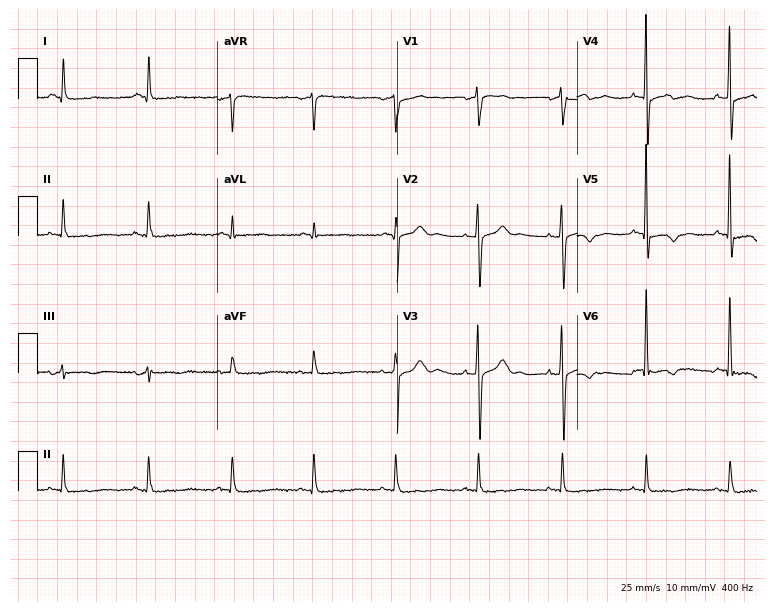
12-lead ECG from a 70-year-old male patient (7.3-second recording at 400 Hz). No first-degree AV block, right bundle branch block (RBBB), left bundle branch block (LBBB), sinus bradycardia, atrial fibrillation (AF) or sinus tachycardia recorded for this tracing.